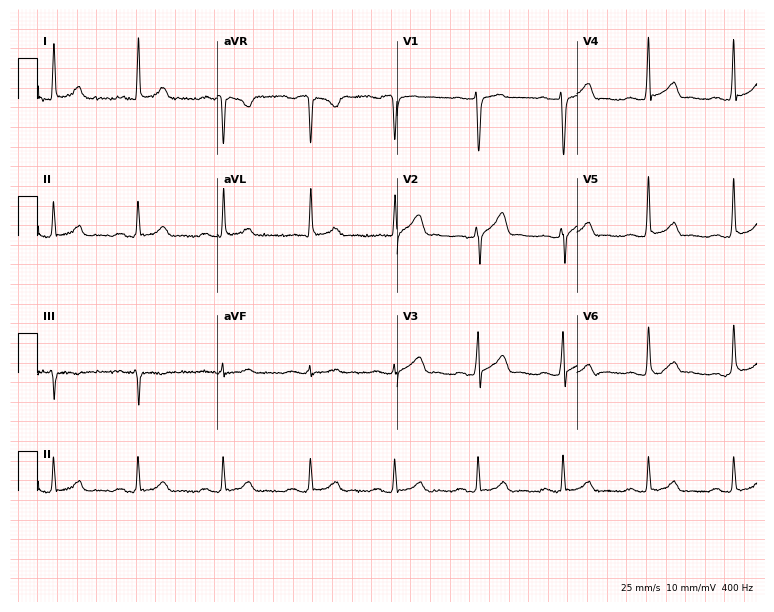
ECG — a man, 34 years old. Screened for six findings — first-degree AV block, right bundle branch block, left bundle branch block, sinus bradycardia, atrial fibrillation, sinus tachycardia — none is recorded. Findings outside these six are not listed.